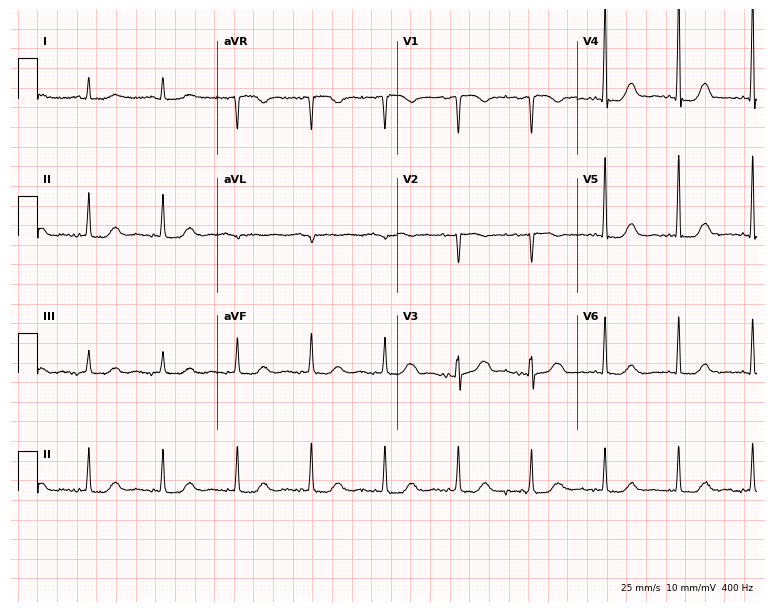
Resting 12-lead electrocardiogram (7.3-second recording at 400 Hz). Patient: an 80-year-old woman. Read as a normal ECG.